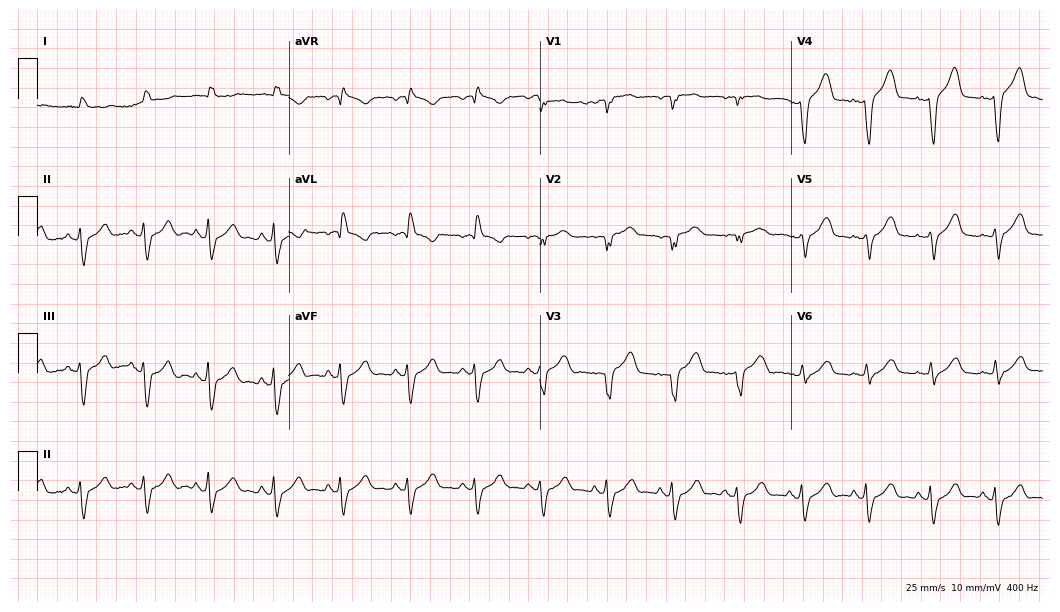
Resting 12-lead electrocardiogram (10.2-second recording at 400 Hz). Patient: a male, 80 years old. None of these six findings is recorded: first-degree AV block, right bundle branch block, left bundle branch block, sinus bradycardia, atrial fibrillation, sinus tachycardia. Other findings, if any, are not listed.